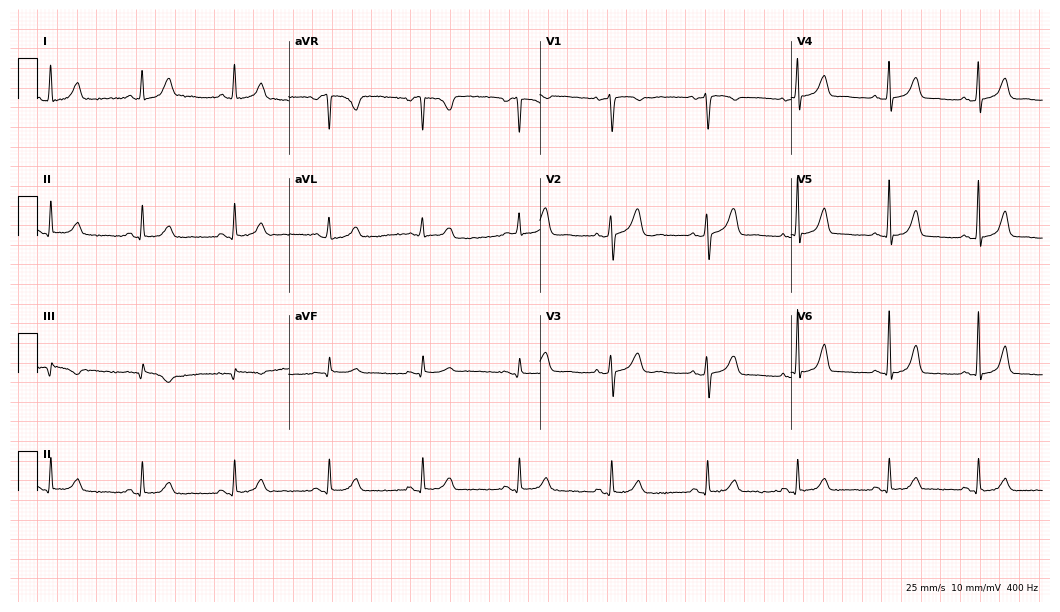
Electrocardiogram (10.2-second recording at 400 Hz), a 38-year-old female patient. Overall reading on record: normal ECG.